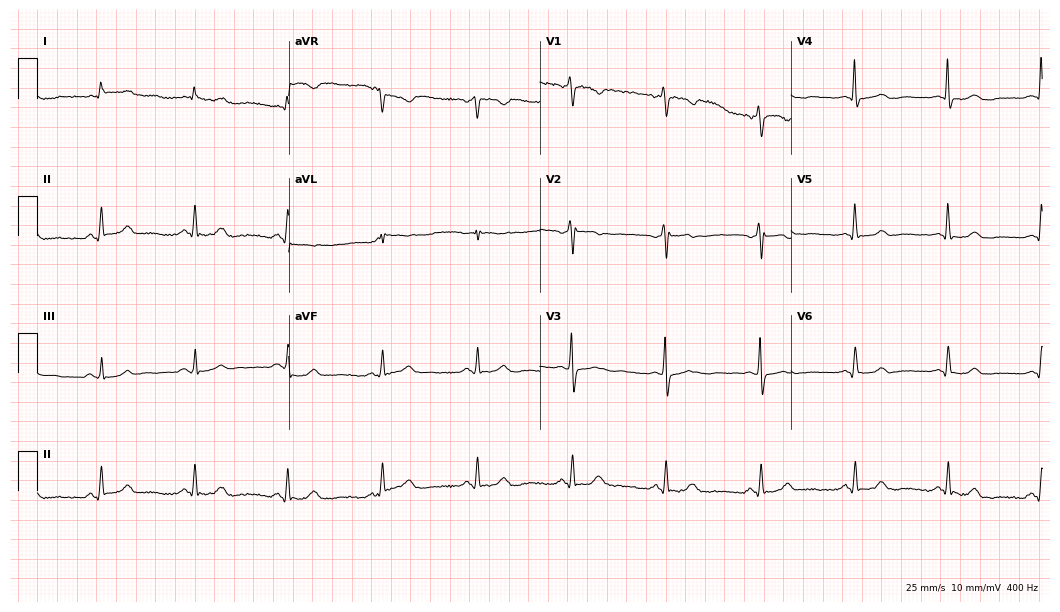
12-lead ECG from a female, 58 years old. No first-degree AV block, right bundle branch block, left bundle branch block, sinus bradycardia, atrial fibrillation or sinus tachycardia recorded for this tracing. Findings outside these six are not listed.